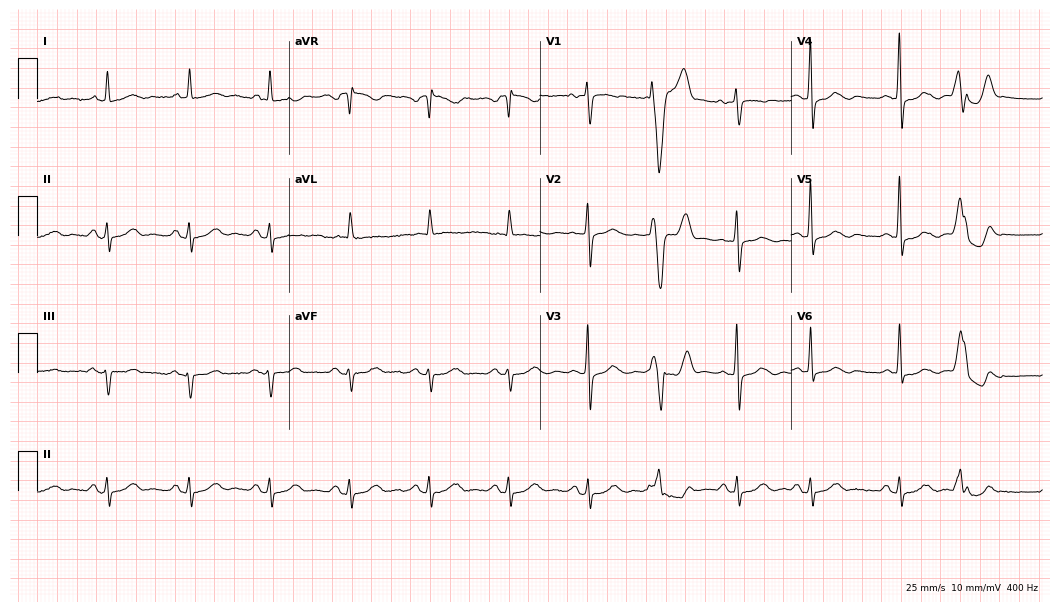
ECG (10.2-second recording at 400 Hz) — an 82-year-old female. Labelled as a normal ECG.